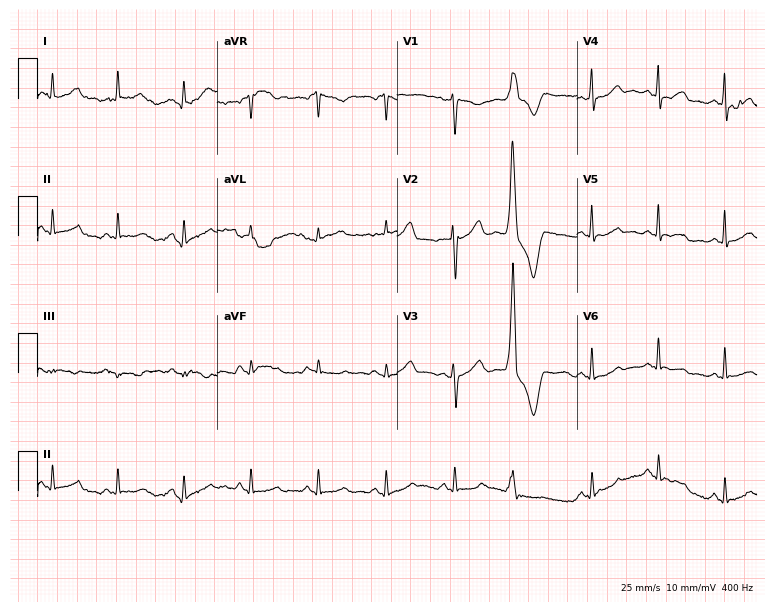
Electrocardiogram, a male, 71 years old. Overall reading on record: normal ECG.